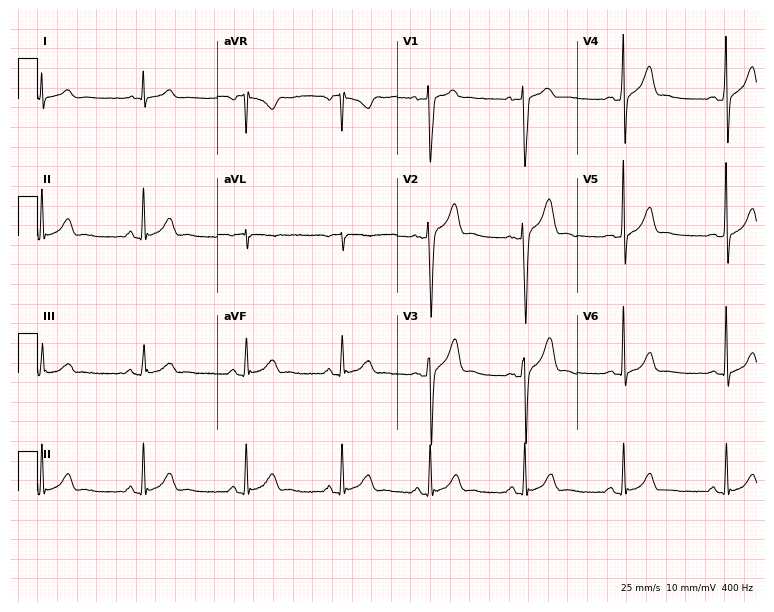
12-lead ECG from a male patient, 27 years old. No first-degree AV block, right bundle branch block, left bundle branch block, sinus bradycardia, atrial fibrillation or sinus tachycardia recorded for this tracing. Other findings, if any, are not listed.